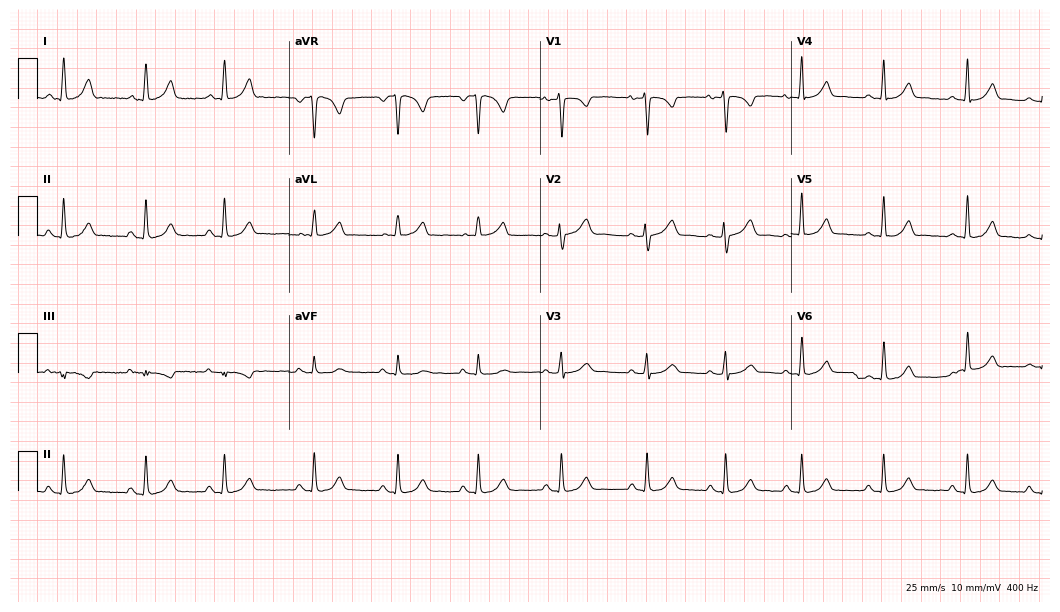
12-lead ECG from a female, 17 years old (10.2-second recording at 400 Hz). Recorded interpretation: within normal limits.